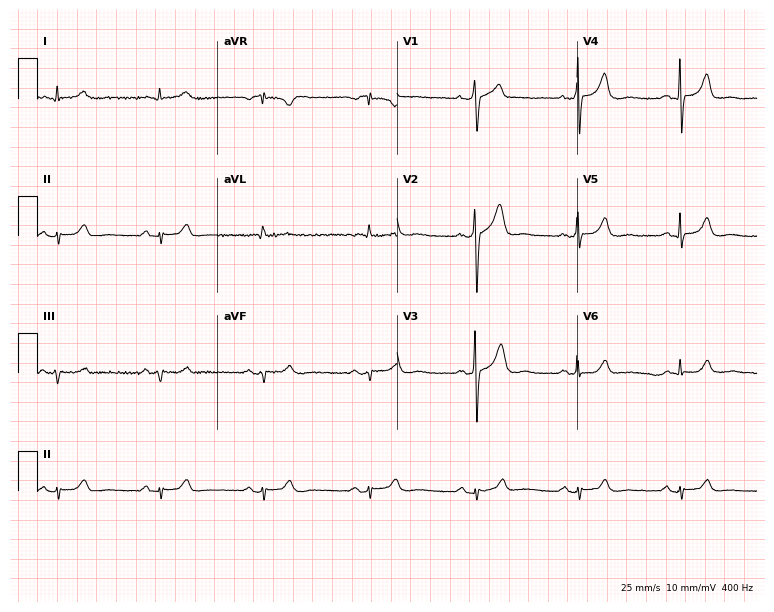
ECG — a man, 70 years old. Screened for six findings — first-degree AV block, right bundle branch block, left bundle branch block, sinus bradycardia, atrial fibrillation, sinus tachycardia — none is recorded. Only these six findings were labelled.